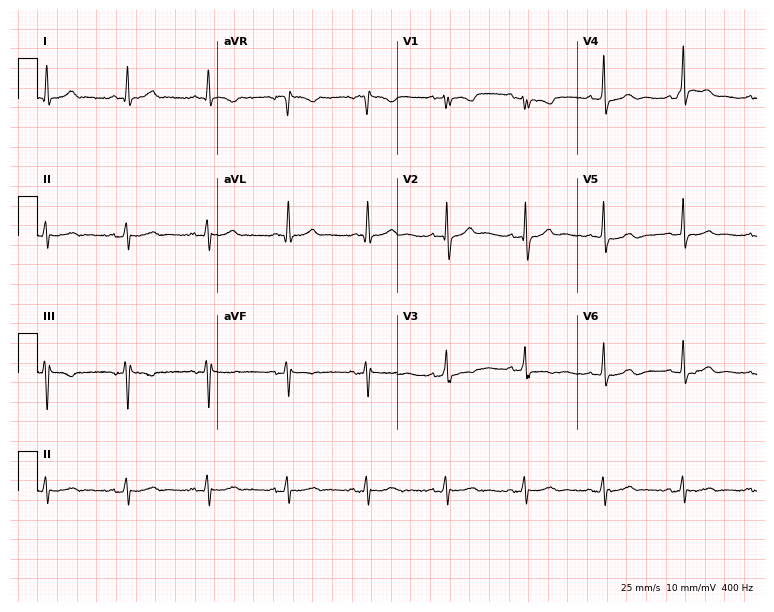
Electrocardiogram (7.3-second recording at 400 Hz), an 81-year-old man. Of the six screened findings (first-degree AV block, right bundle branch block, left bundle branch block, sinus bradycardia, atrial fibrillation, sinus tachycardia), none is recorded. Other findings, if any, are not listed.